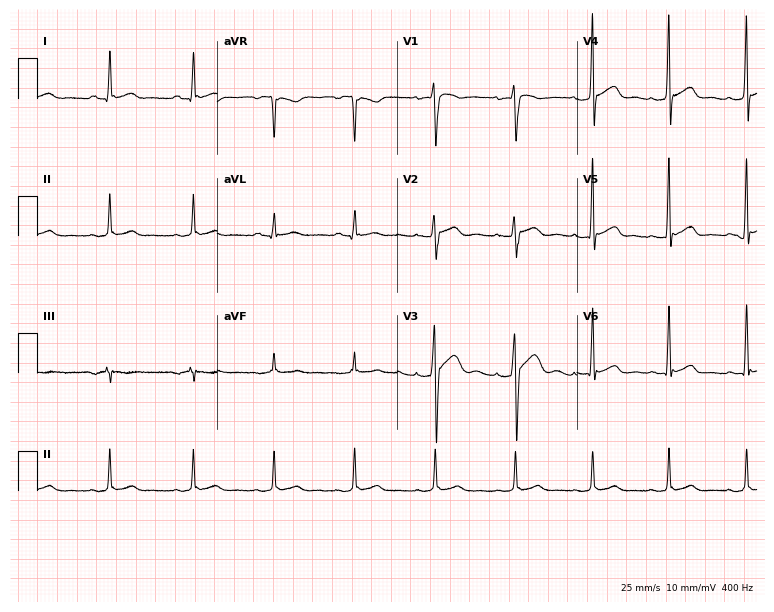
ECG (7.3-second recording at 400 Hz) — a 25-year-old male. Labelled as a normal ECG.